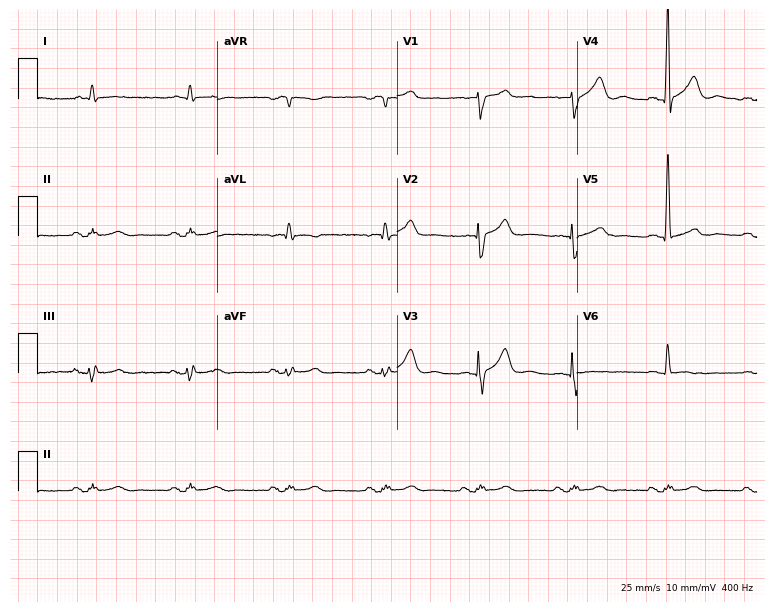
ECG (7.3-second recording at 400 Hz) — a 70-year-old male patient. Screened for six findings — first-degree AV block, right bundle branch block, left bundle branch block, sinus bradycardia, atrial fibrillation, sinus tachycardia — none is recorded. Only these six findings were labelled.